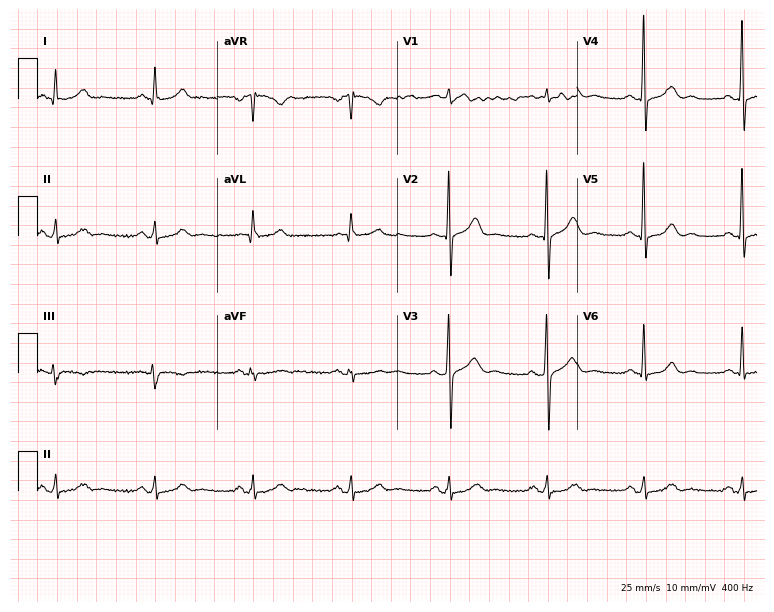
12-lead ECG from a man, 58 years old. Labelled as a normal ECG.